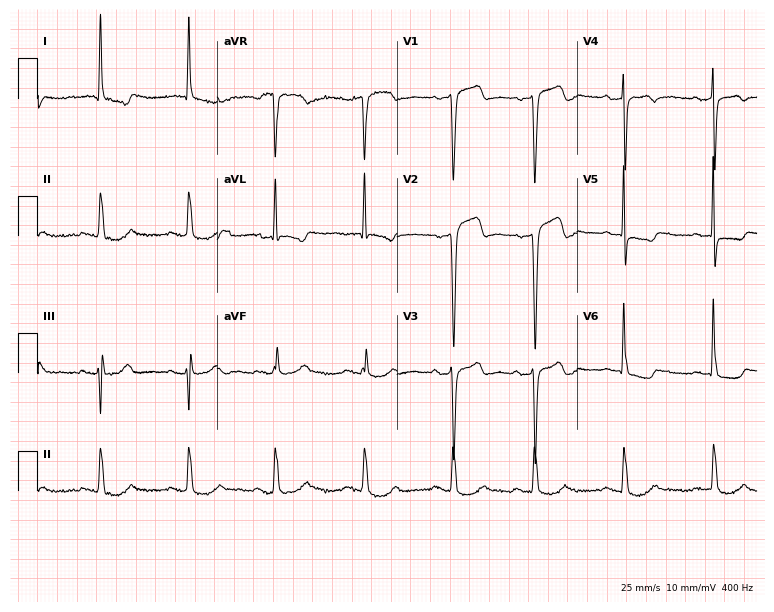
Electrocardiogram, a man, 81 years old. Of the six screened findings (first-degree AV block, right bundle branch block, left bundle branch block, sinus bradycardia, atrial fibrillation, sinus tachycardia), none is recorded.